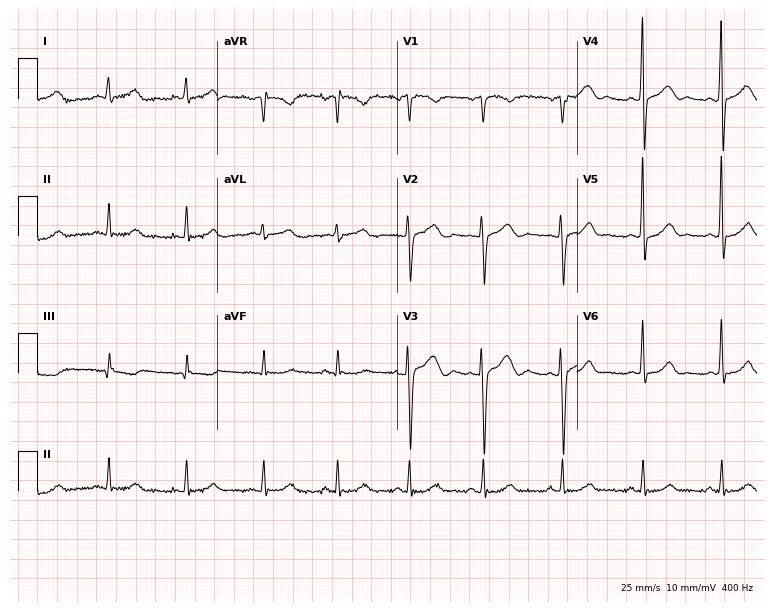
12-lead ECG from a 41-year-old man. Recorded interpretation: within normal limits.